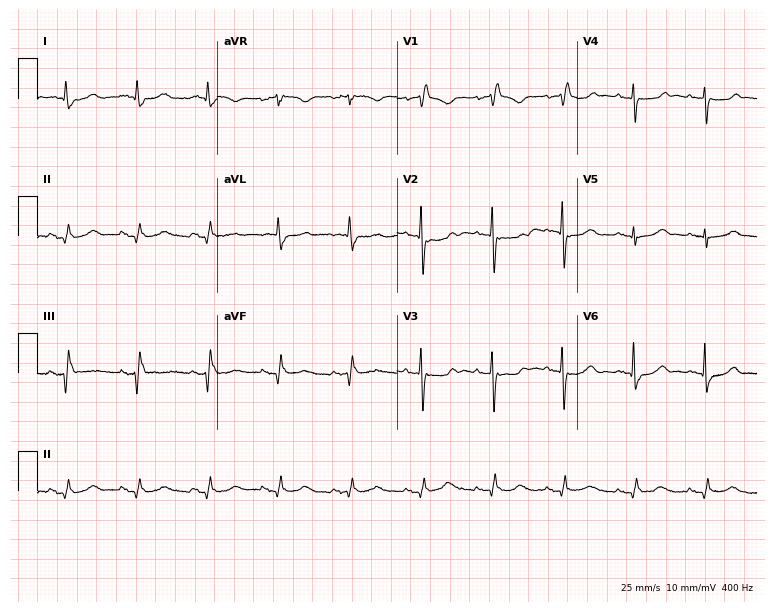
12-lead ECG (7.3-second recording at 400 Hz) from an 89-year-old female patient. Screened for six findings — first-degree AV block, right bundle branch block (RBBB), left bundle branch block (LBBB), sinus bradycardia, atrial fibrillation (AF), sinus tachycardia — none is recorded.